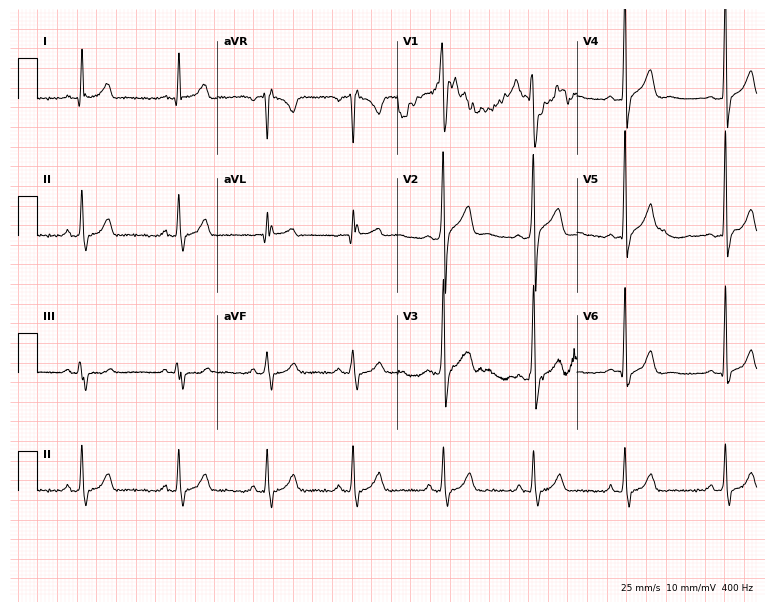
Electrocardiogram, a 27-year-old male patient. Of the six screened findings (first-degree AV block, right bundle branch block (RBBB), left bundle branch block (LBBB), sinus bradycardia, atrial fibrillation (AF), sinus tachycardia), none is recorded.